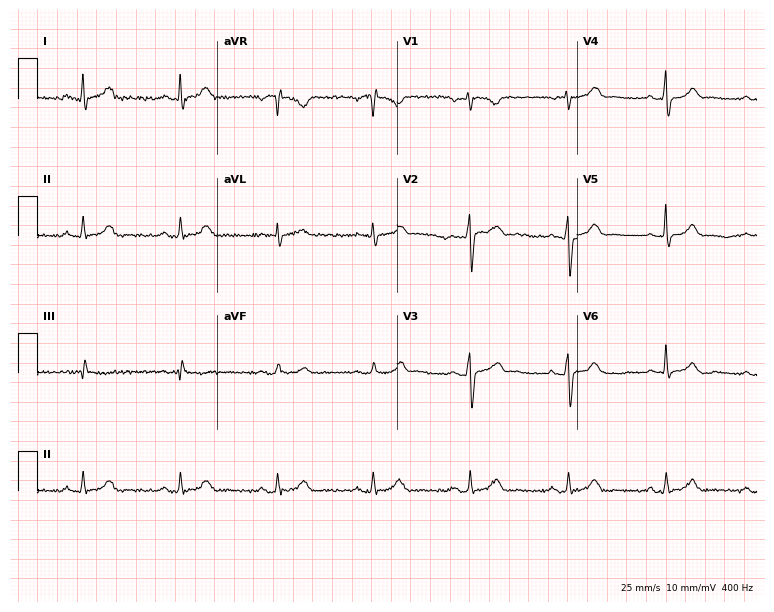
Resting 12-lead electrocardiogram. Patient: a male, 38 years old. Read as a normal ECG.